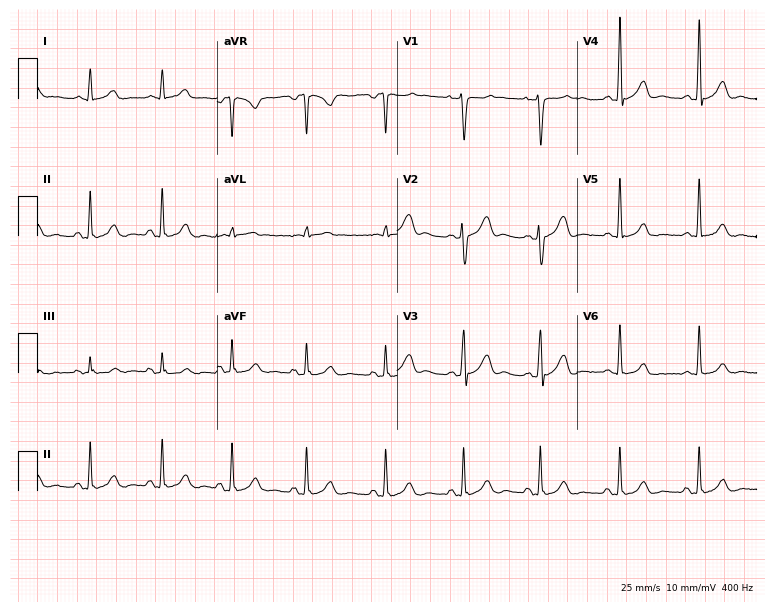
12-lead ECG from a 35-year-old woman. Screened for six findings — first-degree AV block, right bundle branch block (RBBB), left bundle branch block (LBBB), sinus bradycardia, atrial fibrillation (AF), sinus tachycardia — none is recorded.